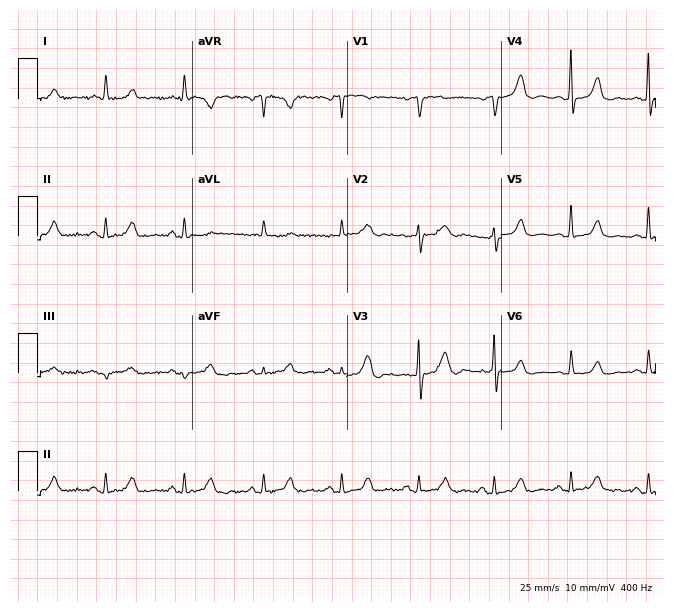
Resting 12-lead electrocardiogram (6.3-second recording at 400 Hz). Patient: a 74-year-old female. None of these six findings is recorded: first-degree AV block, right bundle branch block (RBBB), left bundle branch block (LBBB), sinus bradycardia, atrial fibrillation (AF), sinus tachycardia.